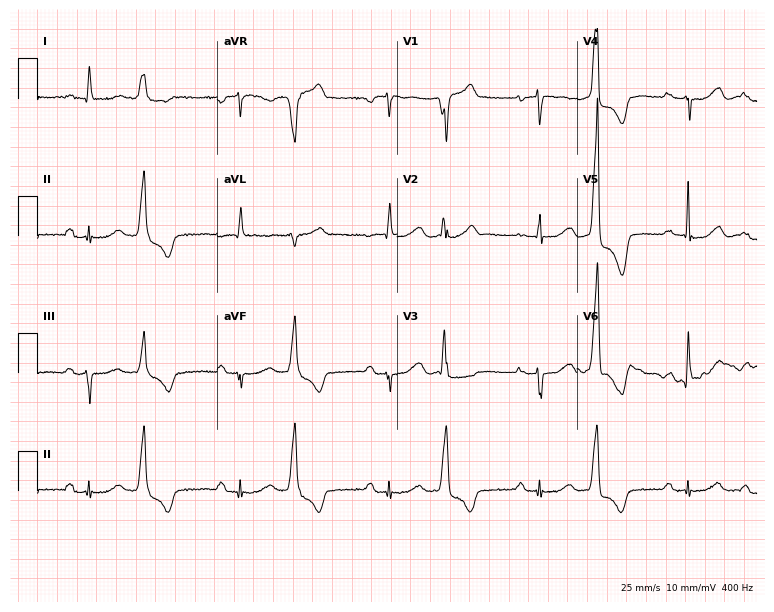
Electrocardiogram, a 78-year-old woman. Of the six screened findings (first-degree AV block, right bundle branch block, left bundle branch block, sinus bradycardia, atrial fibrillation, sinus tachycardia), none is recorded.